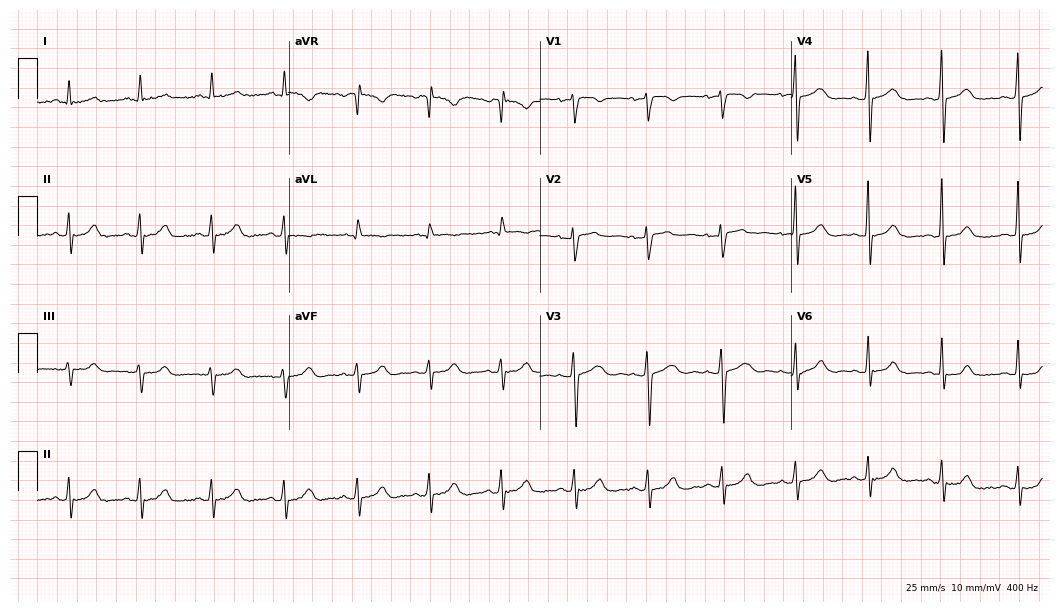
12-lead ECG from a 50-year-old woman (10.2-second recording at 400 Hz). No first-degree AV block, right bundle branch block, left bundle branch block, sinus bradycardia, atrial fibrillation or sinus tachycardia recorded for this tracing. Other findings, if any, are not listed.